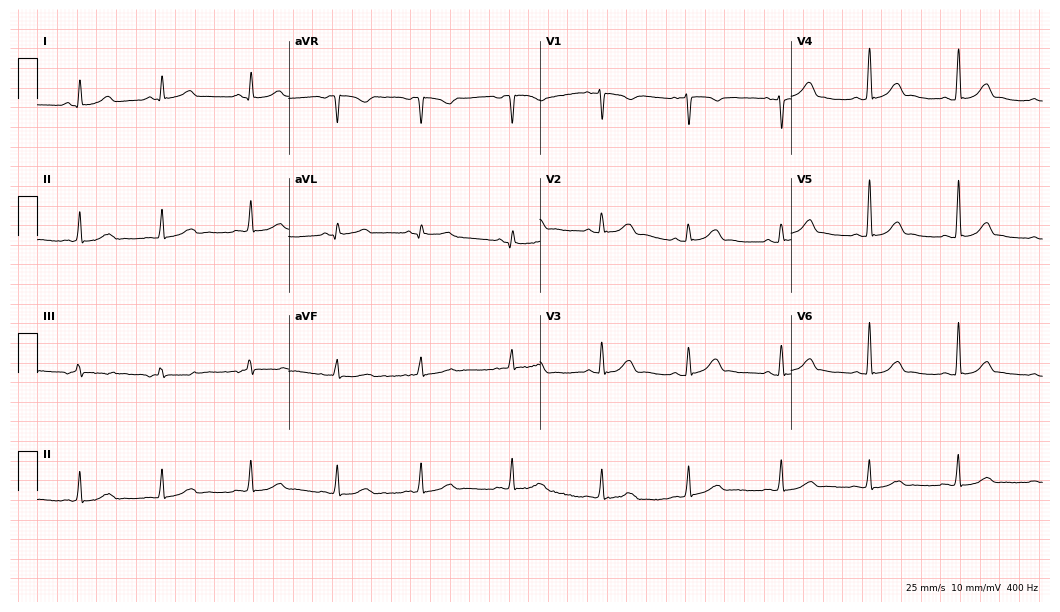
Resting 12-lead electrocardiogram. Patient: a woman, 32 years old. Read as a normal ECG.